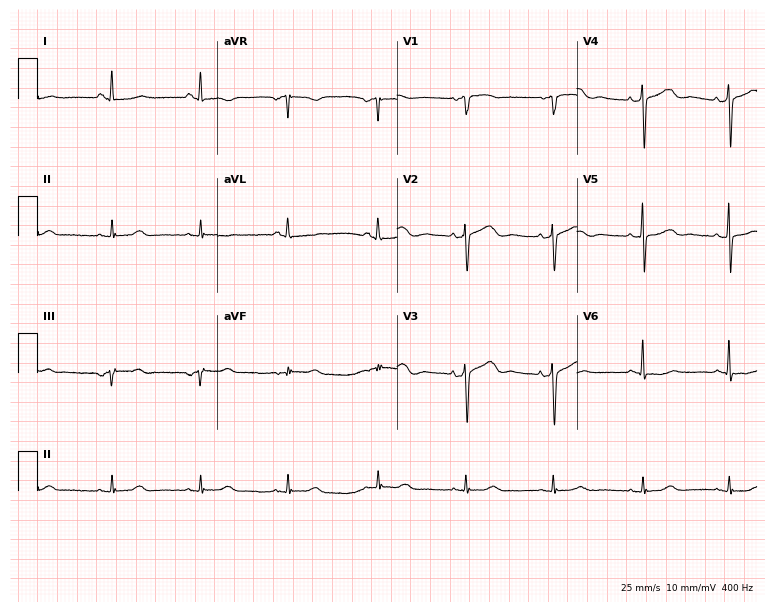
ECG (7.3-second recording at 400 Hz) — an 85-year-old woman. Labelled as a normal ECG.